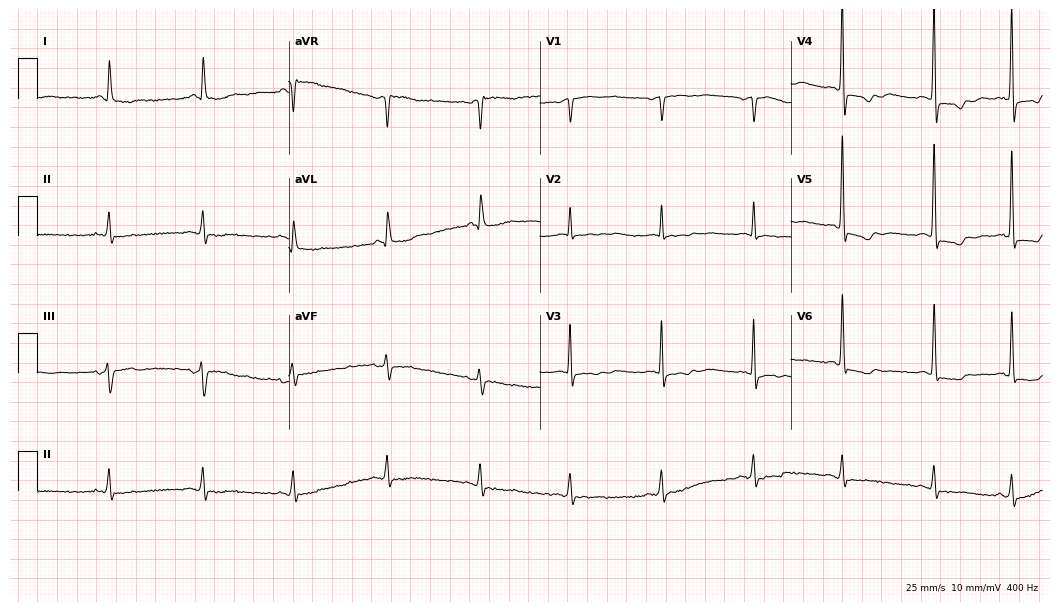
12-lead ECG from an 81-year-old female patient. No first-degree AV block, right bundle branch block (RBBB), left bundle branch block (LBBB), sinus bradycardia, atrial fibrillation (AF) or sinus tachycardia recorded for this tracing. Only these six findings were labelled.